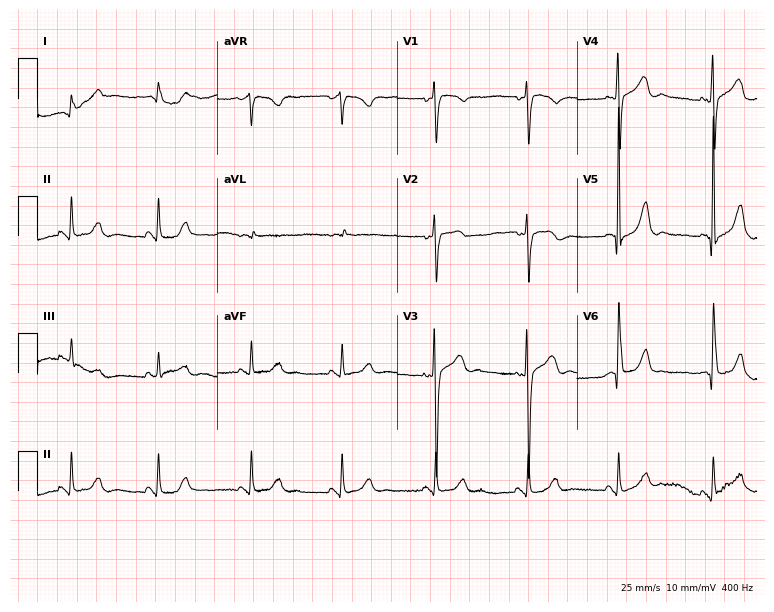
12-lead ECG (7.3-second recording at 400 Hz) from a woman, 73 years old. Screened for six findings — first-degree AV block, right bundle branch block, left bundle branch block, sinus bradycardia, atrial fibrillation, sinus tachycardia — none is recorded. Other findings, if any, are not listed.